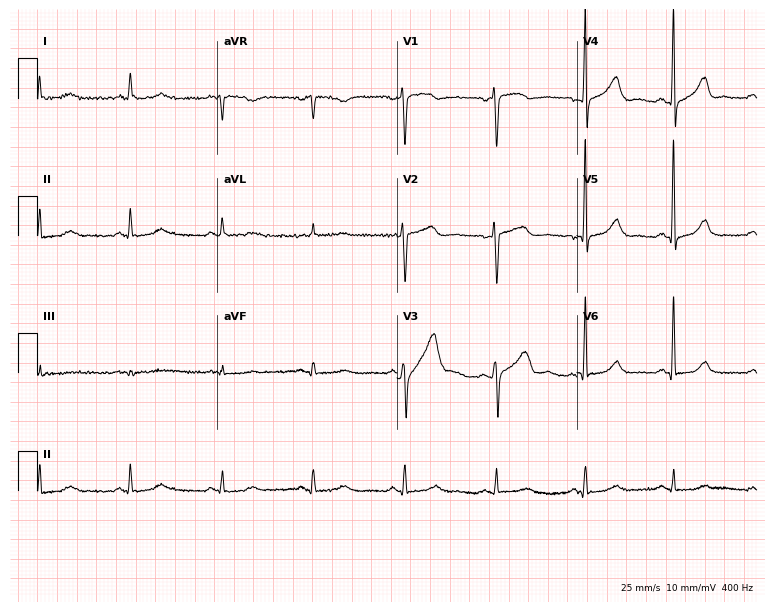
12-lead ECG from a 48-year-old female patient. No first-degree AV block, right bundle branch block (RBBB), left bundle branch block (LBBB), sinus bradycardia, atrial fibrillation (AF) or sinus tachycardia recorded for this tracing. Only these six findings were labelled.